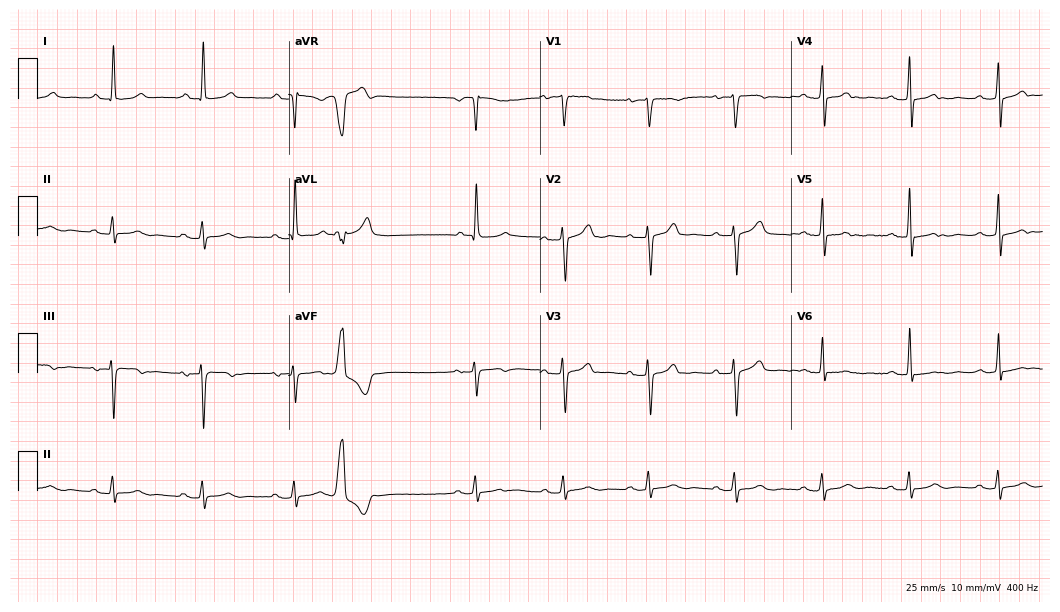
12-lead ECG from a 75-year-old female. No first-degree AV block, right bundle branch block (RBBB), left bundle branch block (LBBB), sinus bradycardia, atrial fibrillation (AF) or sinus tachycardia recorded for this tracing.